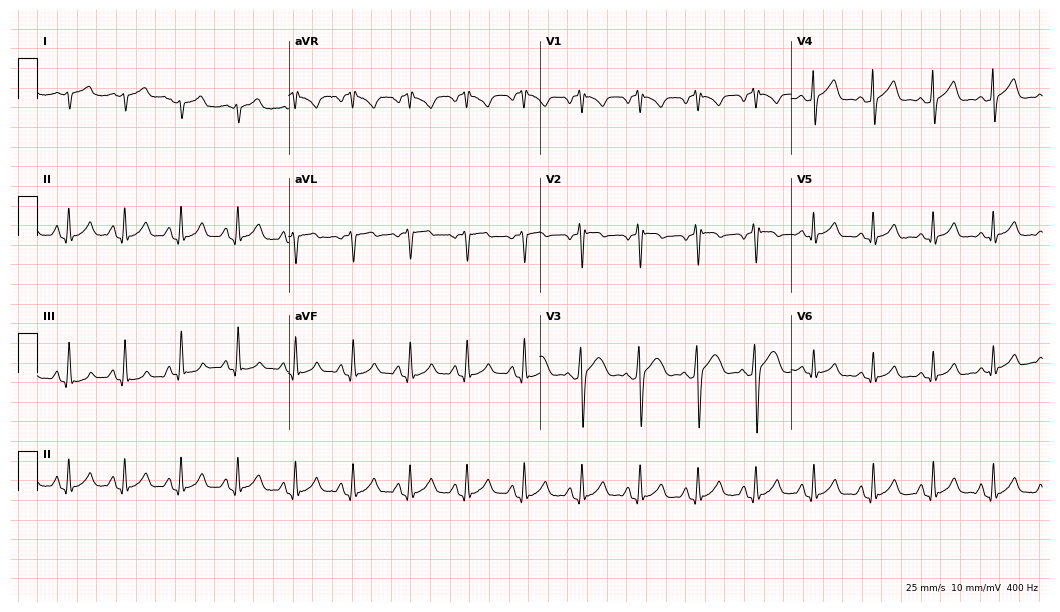
12-lead ECG from a male patient, 30 years old (10.2-second recording at 400 Hz). Shows sinus tachycardia (a sinus rate of 100 beats per minute or more).